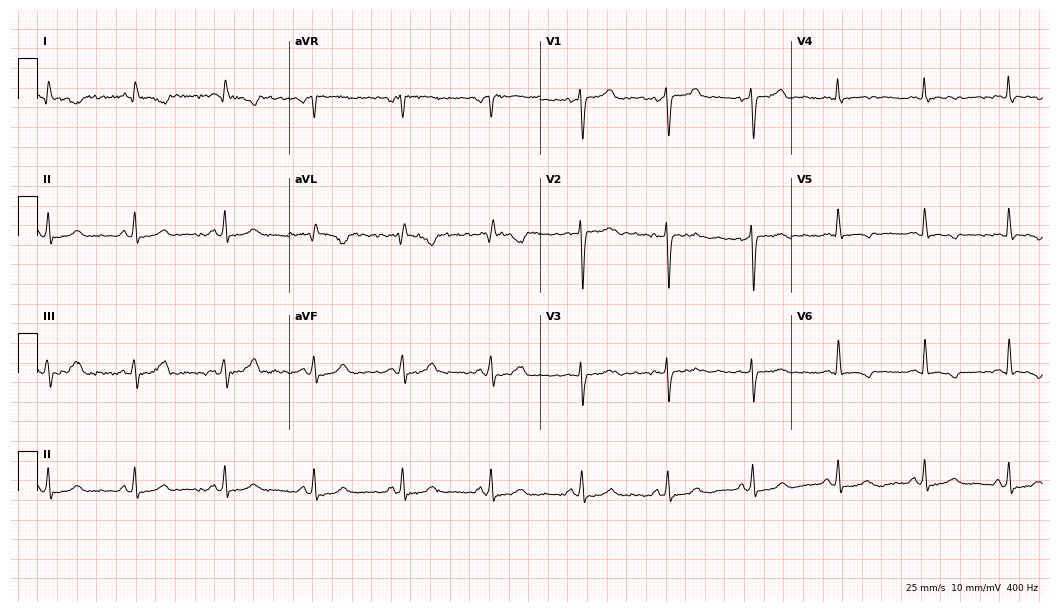
Electrocardiogram (10.2-second recording at 400 Hz), a 55-year-old woman. Of the six screened findings (first-degree AV block, right bundle branch block, left bundle branch block, sinus bradycardia, atrial fibrillation, sinus tachycardia), none is recorded.